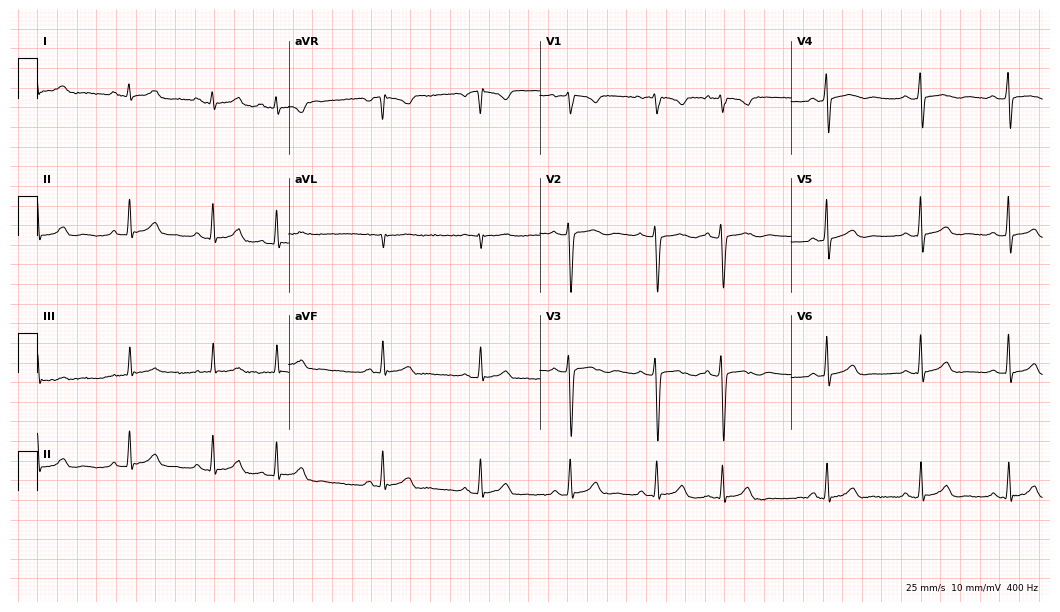
12-lead ECG from an 18-year-old woman. Screened for six findings — first-degree AV block, right bundle branch block, left bundle branch block, sinus bradycardia, atrial fibrillation, sinus tachycardia — none is recorded. Other findings, if any, are not listed.